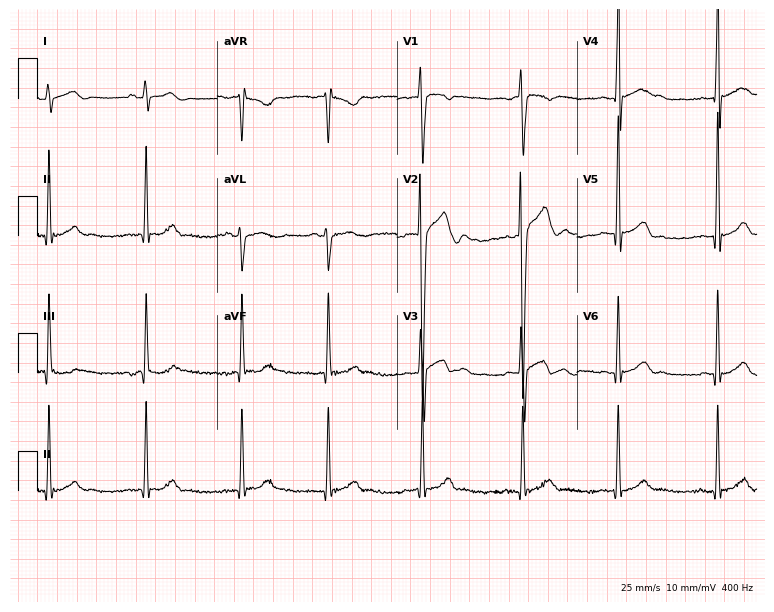
Standard 12-lead ECG recorded from a male, 17 years old. Read as a normal ECG.